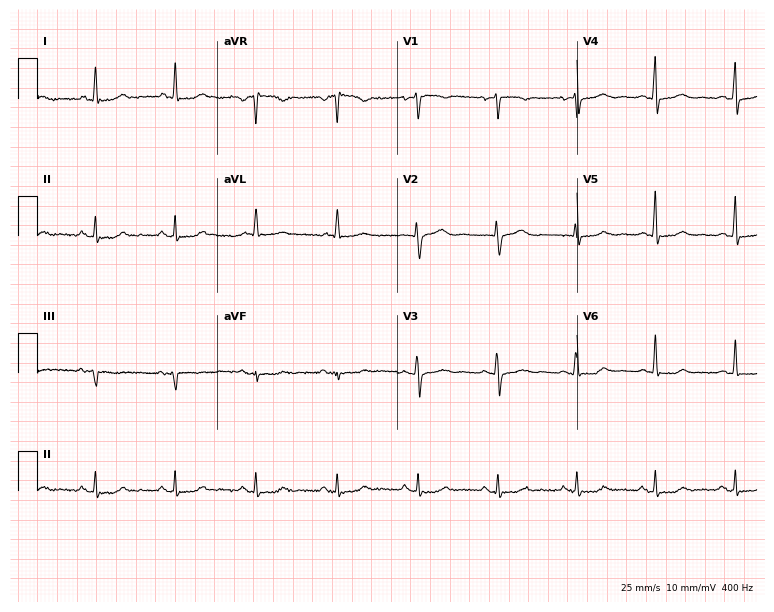
12-lead ECG from a 63-year-old female patient. Recorded interpretation: within normal limits.